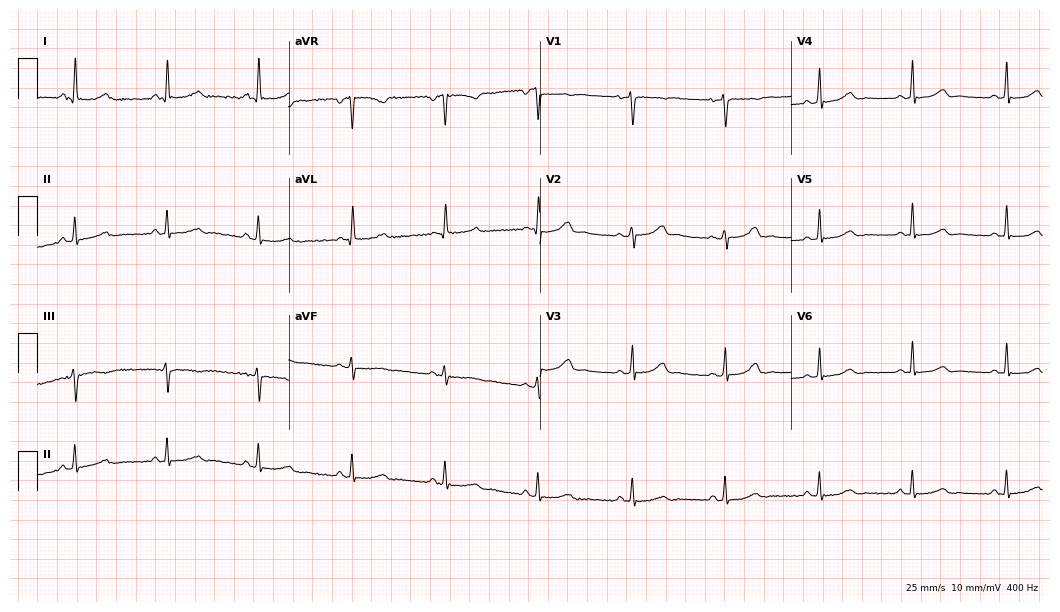
Resting 12-lead electrocardiogram. Patient: a 40-year-old female. None of these six findings is recorded: first-degree AV block, right bundle branch block, left bundle branch block, sinus bradycardia, atrial fibrillation, sinus tachycardia.